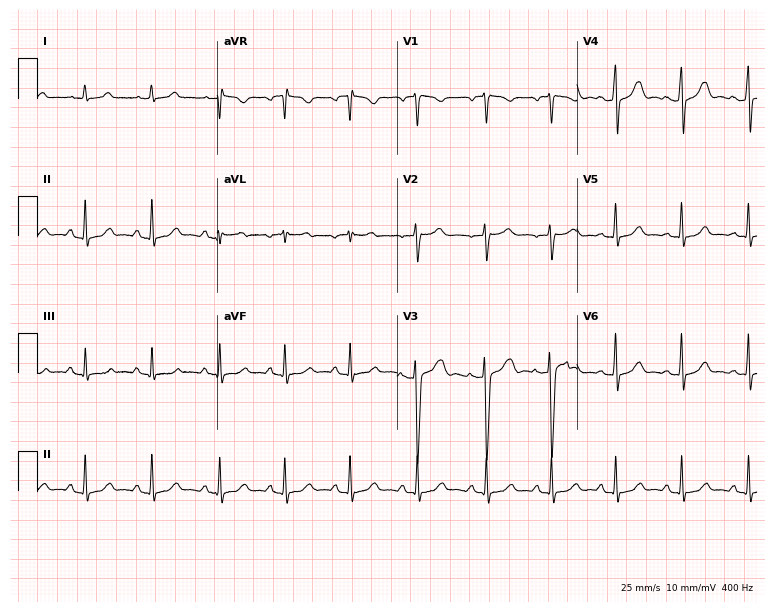
12-lead ECG from a 28-year-old woman. Labelled as a normal ECG.